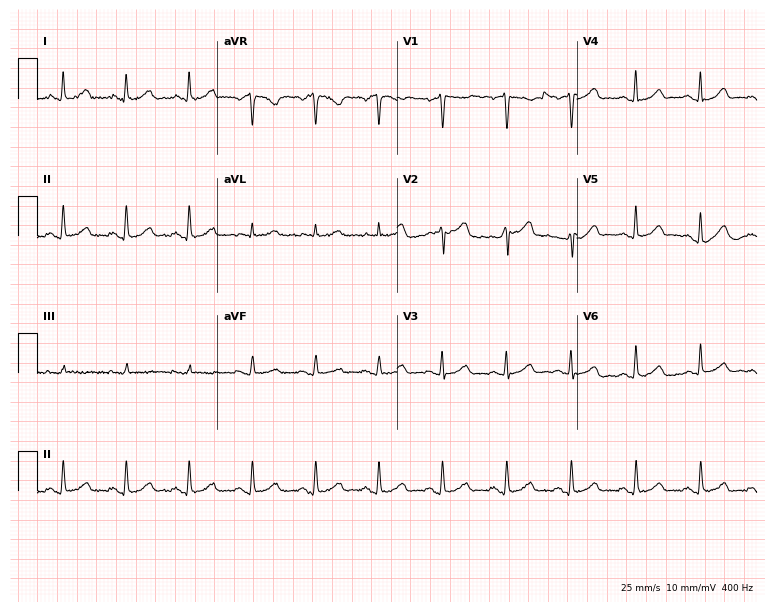
12-lead ECG from a 60-year-old female patient (7.3-second recording at 400 Hz). No first-degree AV block, right bundle branch block (RBBB), left bundle branch block (LBBB), sinus bradycardia, atrial fibrillation (AF) or sinus tachycardia recorded for this tracing.